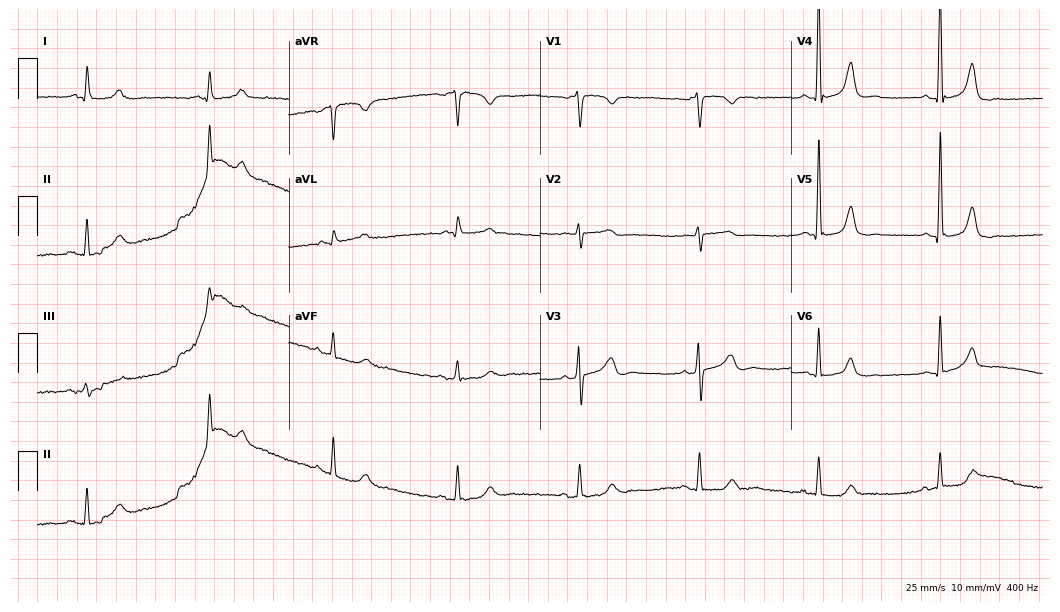
12-lead ECG from a 73-year-old male (10.2-second recording at 400 Hz). No first-degree AV block, right bundle branch block, left bundle branch block, sinus bradycardia, atrial fibrillation or sinus tachycardia recorded for this tracing. Only these six findings were labelled.